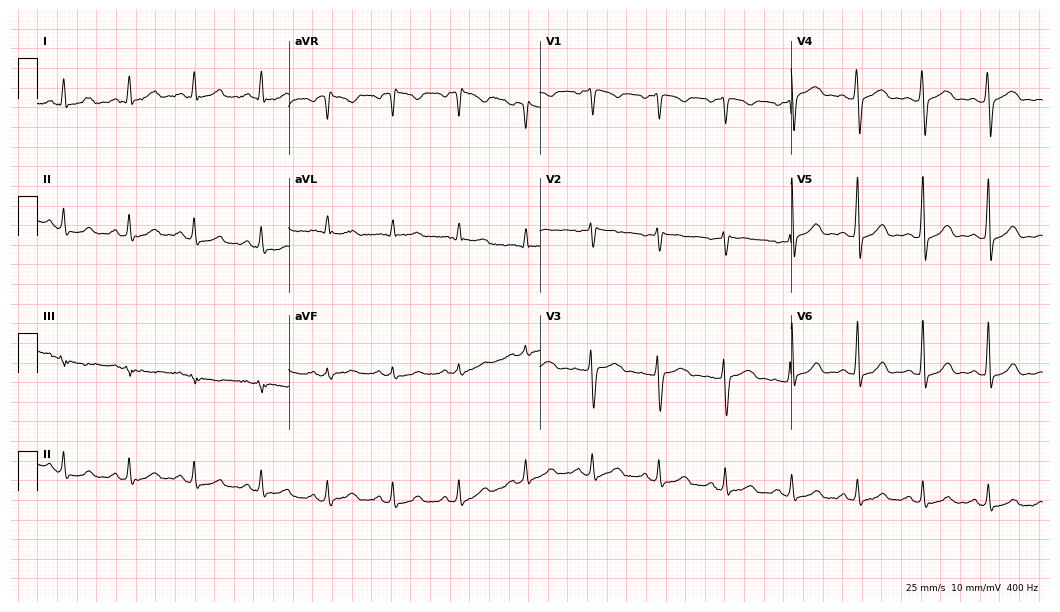
ECG (10.2-second recording at 400 Hz) — a 48-year-old man. Screened for six findings — first-degree AV block, right bundle branch block, left bundle branch block, sinus bradycardia, atrial fibrillation, sinus tachycardia — none is recorded. Other findings, if any, are not listed.